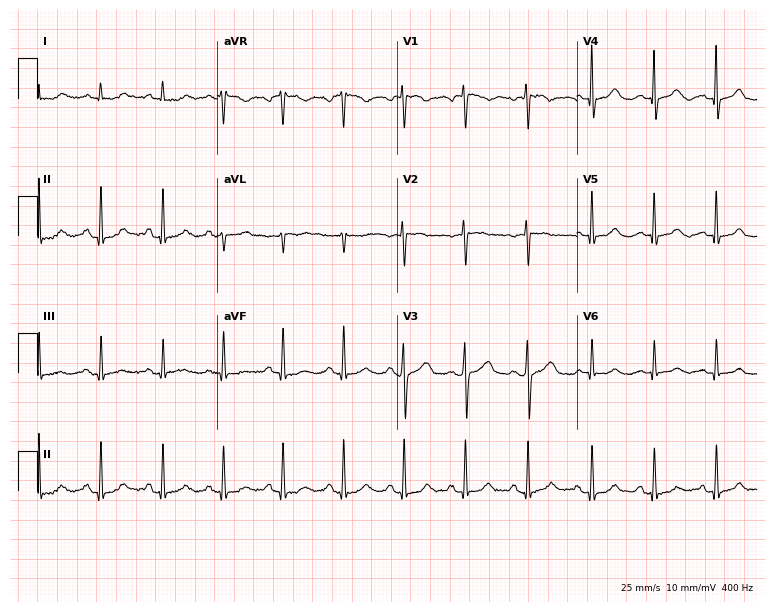
12-lead ECG from a female, 54 years old (7.3-second recording at 400 Hz). No first-degree AV block, right bundle branch block (RBBB), left bundle branch block (LBBB), sinus bradycardia, atrial fibrillation (AF) or sinus tachycardia recorded for this tracing. Other findings, if any, are not listed.